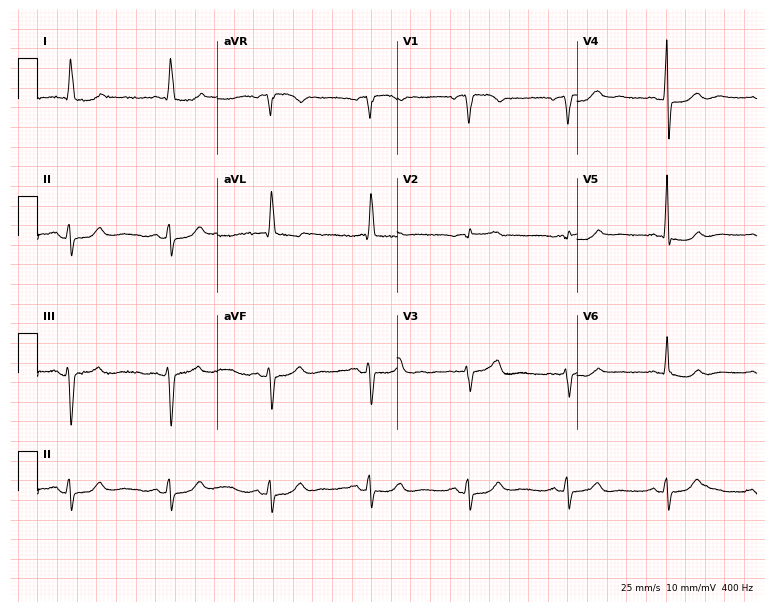
12-lead ECG from an 85-year-old male patient. No first-degree AV block, right bundle branch block, left bundle branch block, sinus bradycardia, atrial fibrillation or sinus tachycardia recorded for this tracing. Other findings, if any, are not listed.